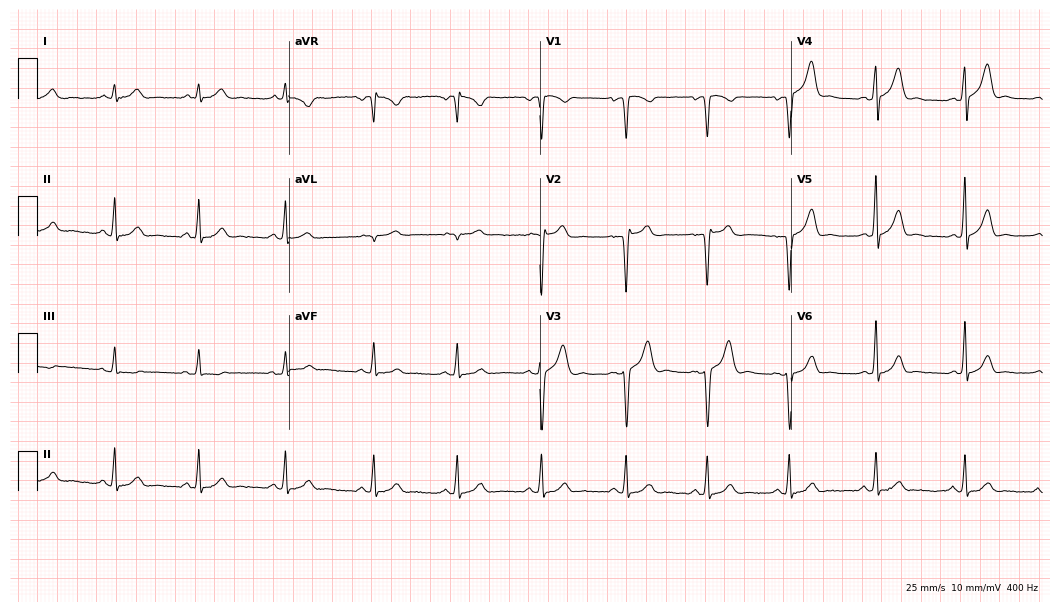
ECG — a male, 25 years old. Screened for six findings — first-degree AV block, right bundle branch block, left bundle branch block, sinus bradycardia, atrial fibrillation, sinus tachycardia — none is recorded.